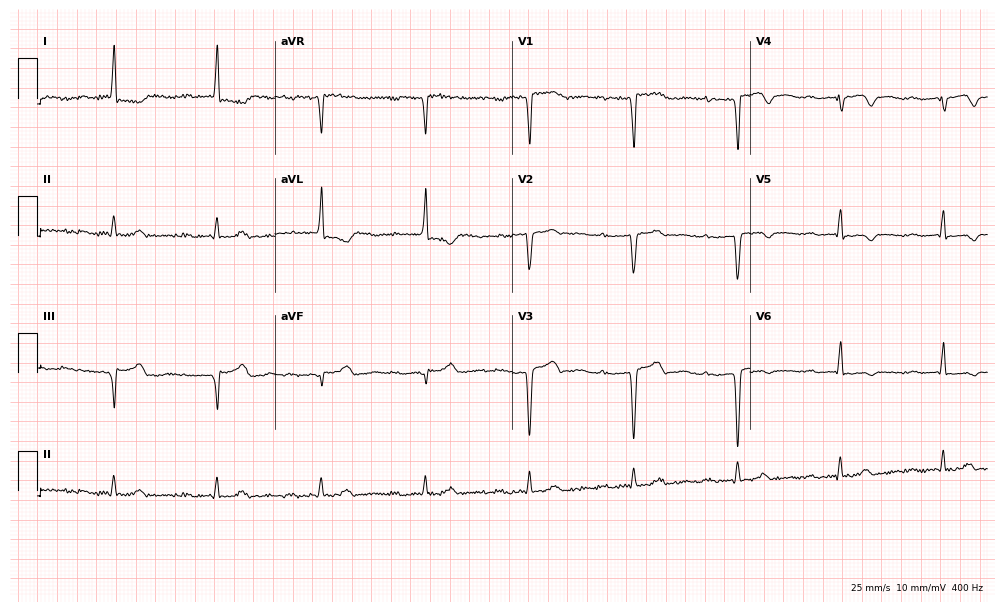
Standard 12-lead ECG recorded from a woman, 81 years old. None of these six findings is recorded: first-degree AV block, right bundle branch block, left bundle branch block, sinus bradycardia, atrial fibrillation, sinus tachycardia. Findings outside these six are not listed.